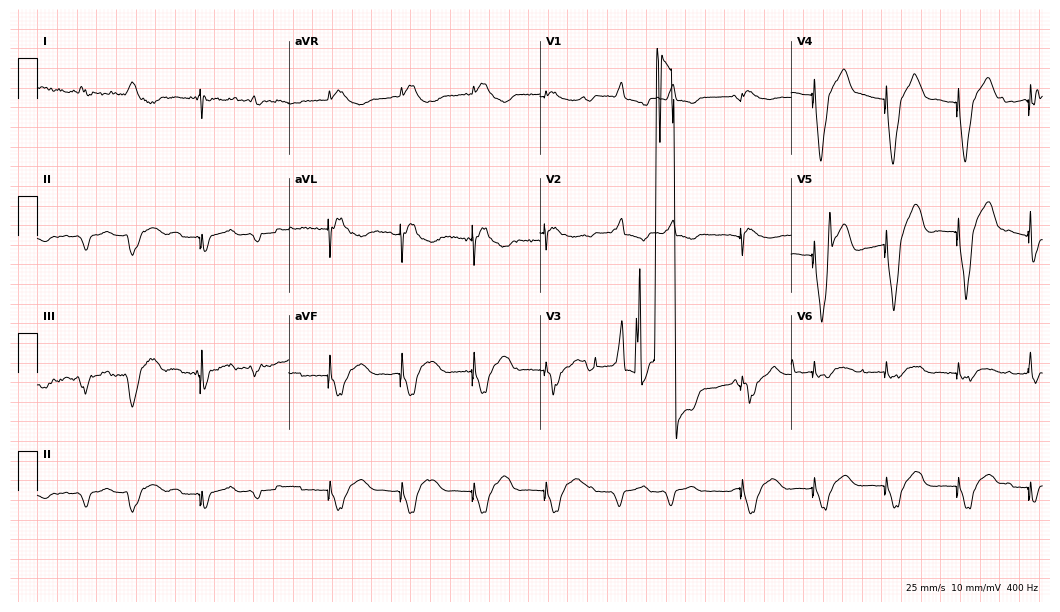
ECG (10.2-second recording at 400 Hz) — a 66-year-old male patient. Screened for six findings — first-degree AV block, right bundle branch block, left bundle branch block, sinus bradycardia, atrial fibrillation, sinus tachycardia — none is recorded. Findings outside these six are not listed.